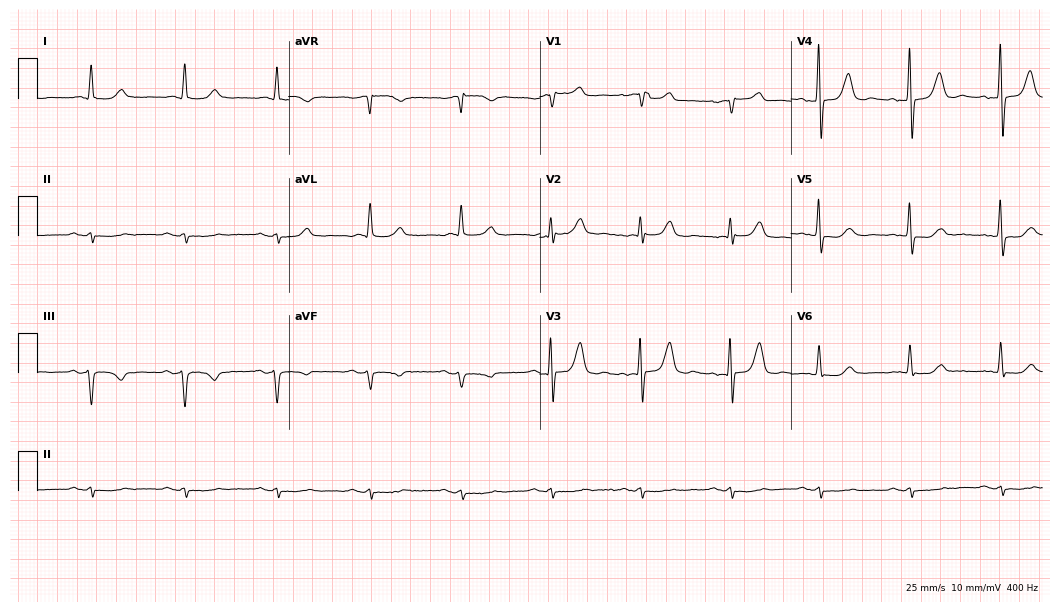
Standard 12-lead ECG recorded from a male patient, 70 years old. None of these six findings is recorded: first-degree AV block, right bundle branch block, left bundle branch block, sinus bradycardia, atrial fibrillation, sinus tachycardia. Other findings, if any, are not listed.